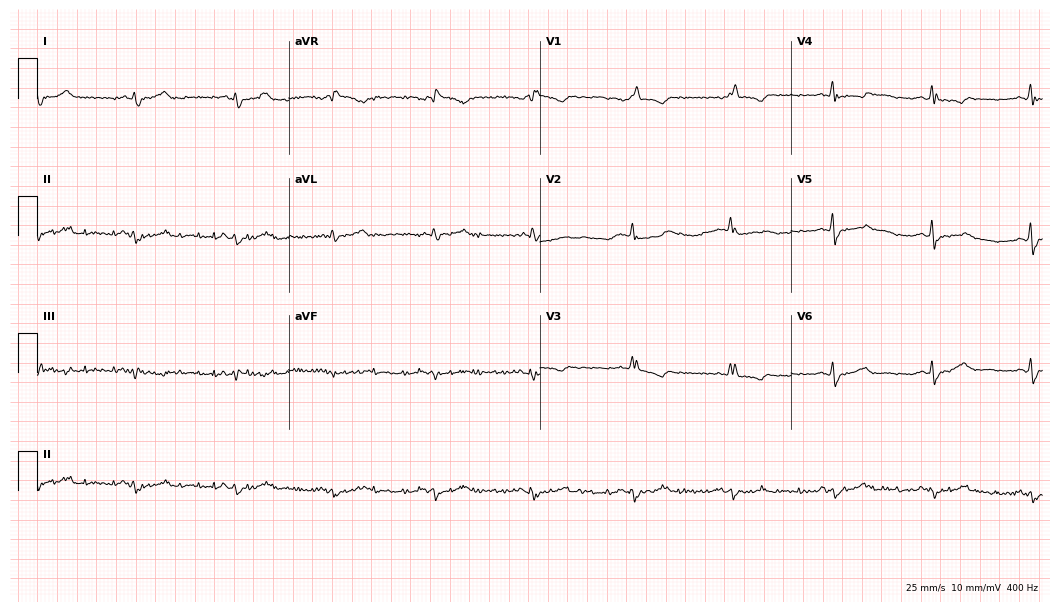
12-lead ECG from a 76-year-old female patient. Findings include right bundle branch block.